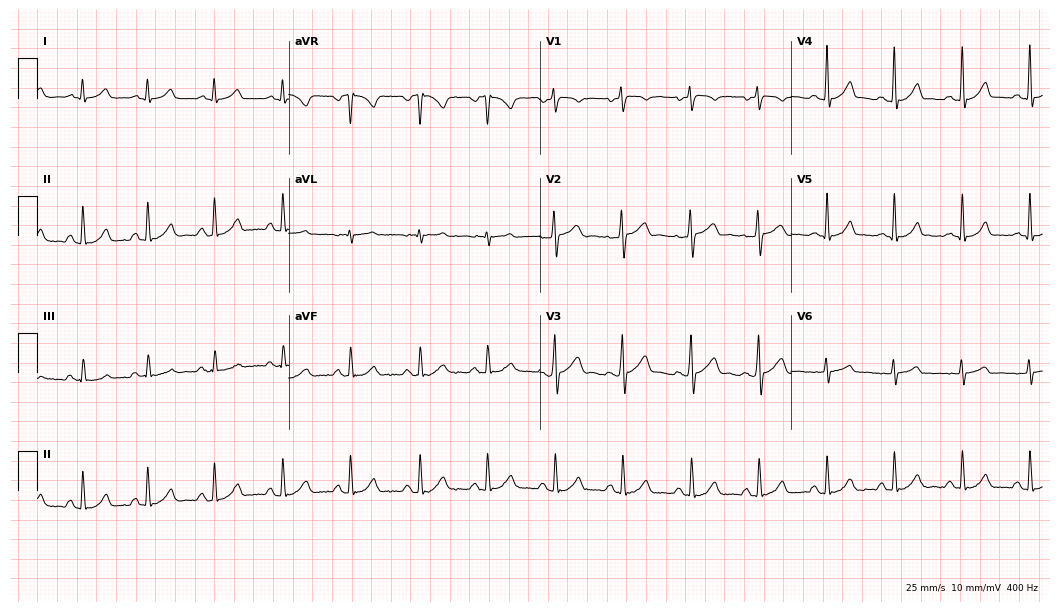
12-lead ECG from a male, 33 years old. Labelled as a normal ECG.